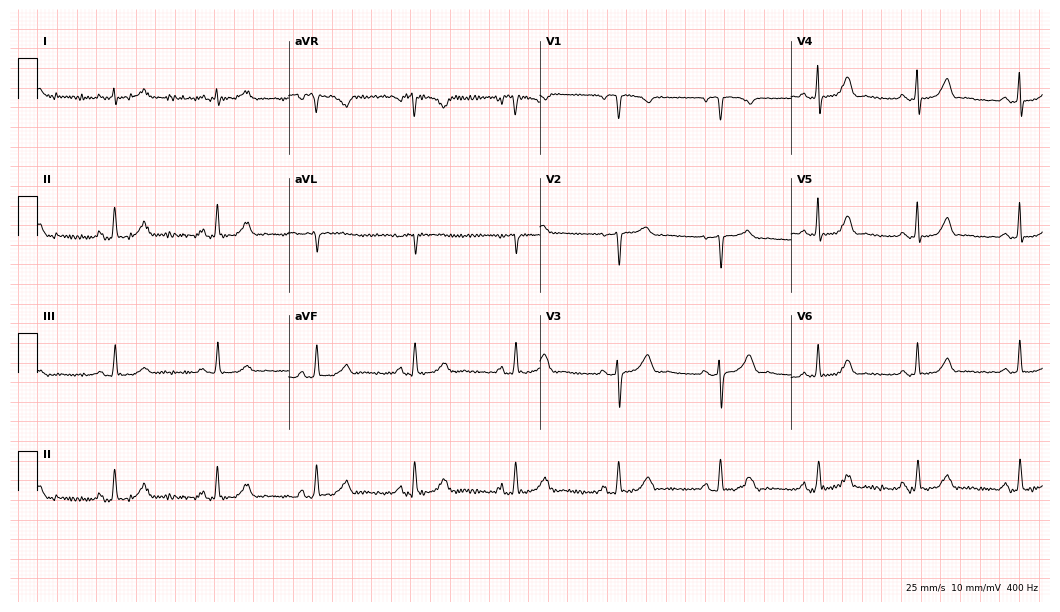
Standard 12-lead ECG recorded from a 50-year-old female (10.2-second recording at 400 Hz). Read as a normal ECG.